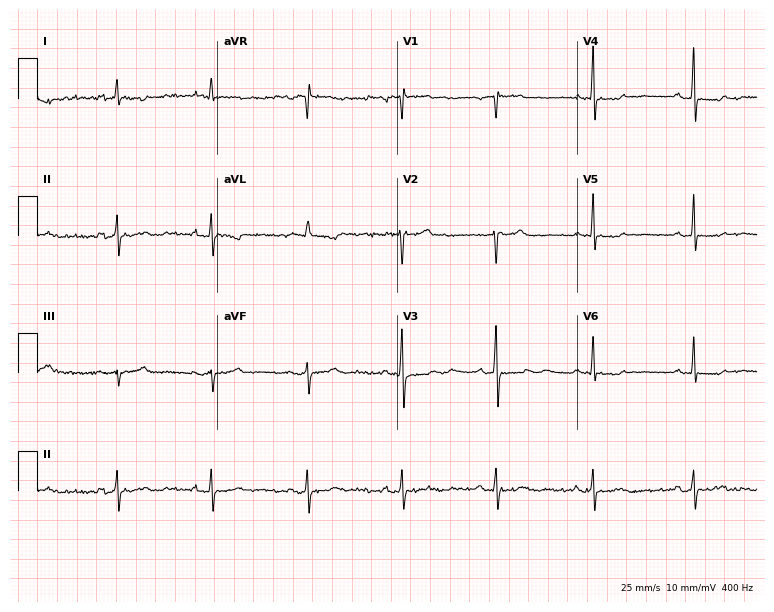
Standard 12-lead ECG recorded from a 74-year-old female patient (7.3-second recording at 400 Hz). None of these six findings is recorded: first-degree AV block, right bundle branch block, left bundle branch block, sinus bradycardia, atrial fibrillation, sinus tachycardia. Findings outside these six are not listed.